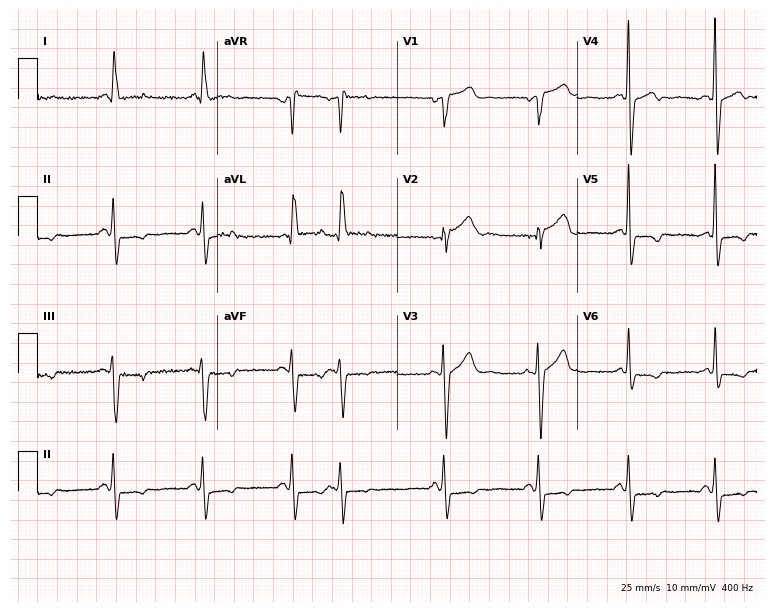
Electrocardiogram (7.3-second recording at 400 Hz), a male, 63 years old. Of the six screened findings (first-degree AV block, right bundle branch block, left bundle branch block, sinus bradycardia, atrial fibrillation, sinus tachycardia), none is recorded. Findings outside these six are not listed.